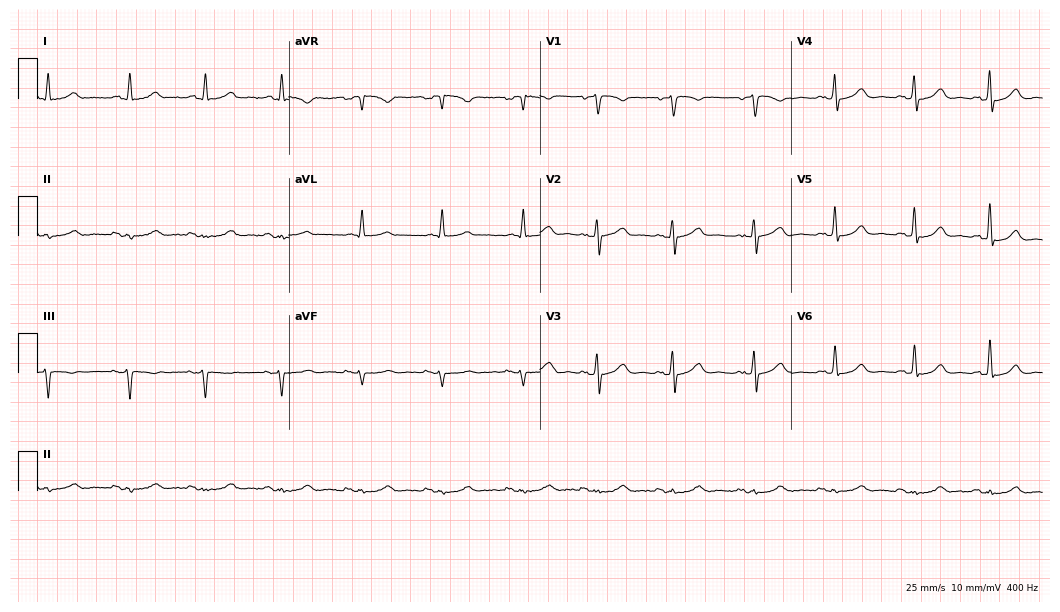
12-lead ECG from a 79-year-old female. No first-degree AV block, right bundle branch block, left bundle branch block, sinus bradycardia, atrial fibrillation or sinus tachycardia recorded for this tracing.